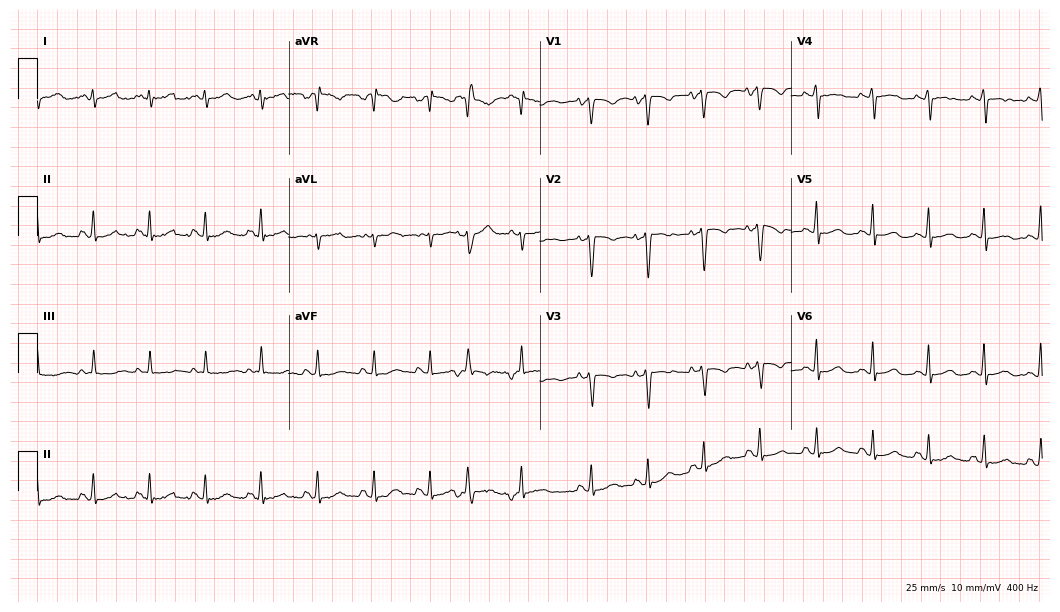
Electrocardiogram (10.2-second recording at 400 Hz), a woman, 60 years old. Interpretation includes sinus tachycardia (a sinus rate of 100 beats per minute or more).